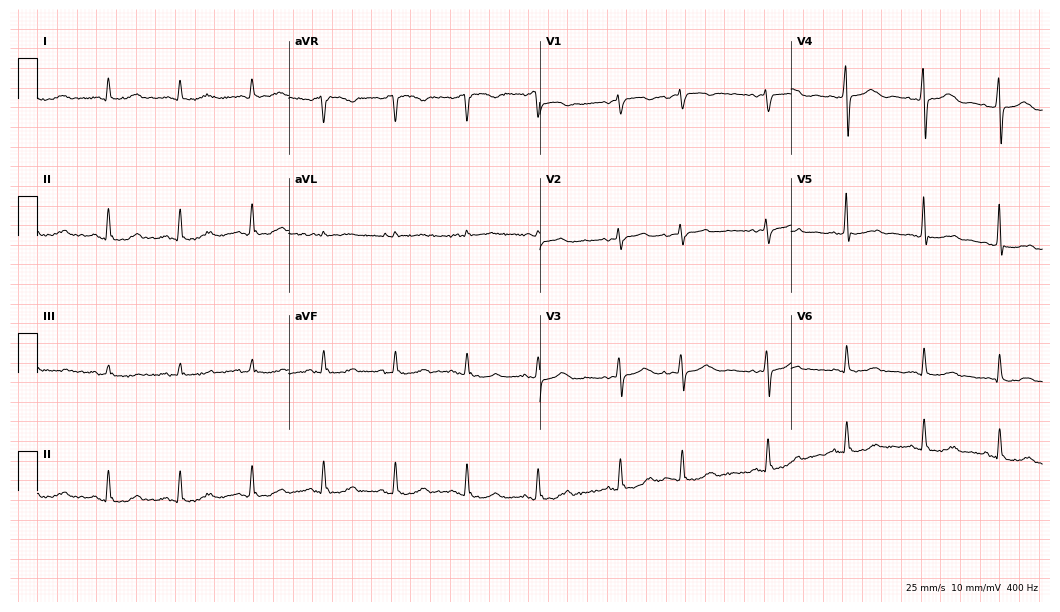
Standard 12-lead ECG recorded from a female patient, 74 years old (10.2-second recording at 400 Hz). None of these six findings is recorded: first-degree AV block, right bundle branch block, left bundle branch block, sinus bradycardia, atrial fibrillation, sinus tachycardia. Findings outside these six are not listed.